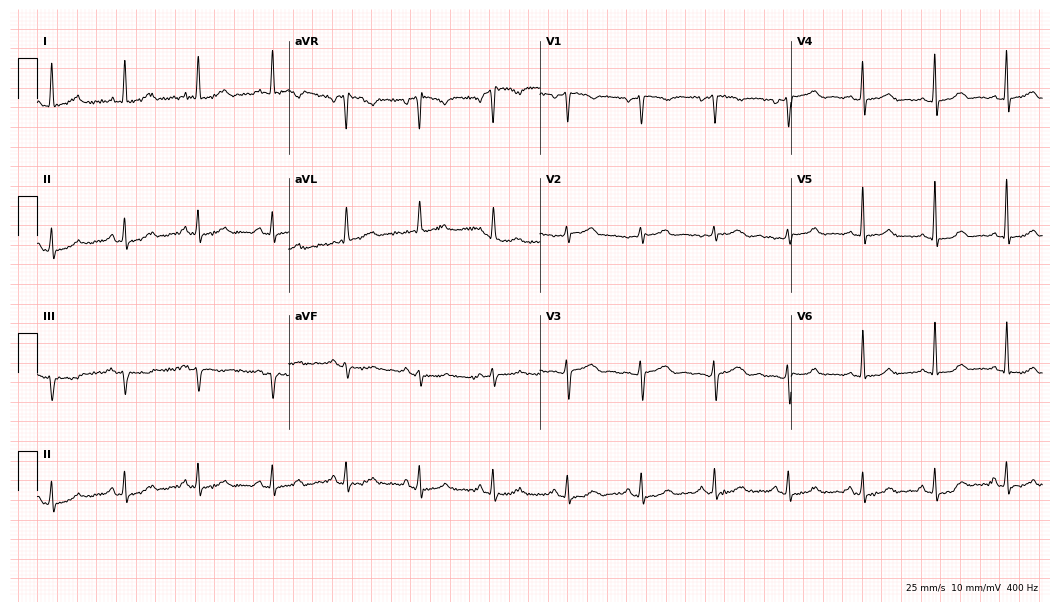
Resting 12-lead electrocardiogram (10.2-second recording at 400 Hz). Patient: a female, 50 years old. Read as a normal ECG.